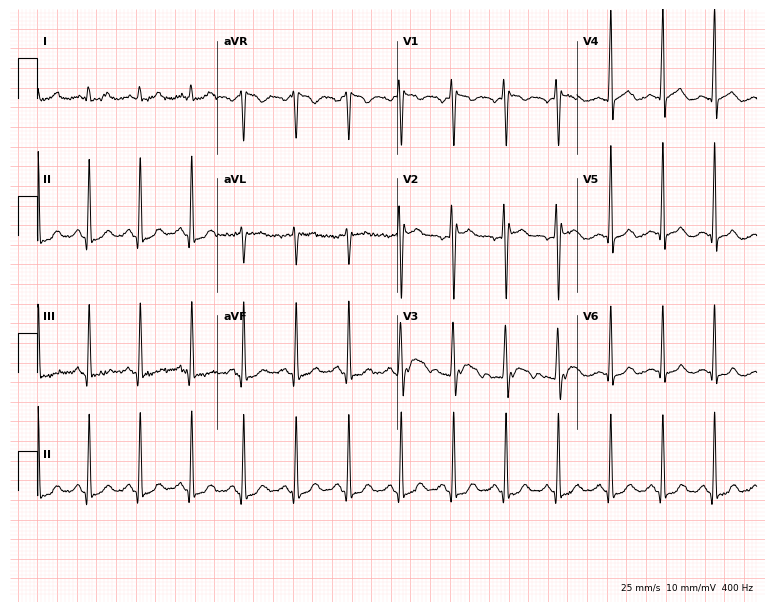
12-lead ECG from a 36-year-old male. Shows sinus tachycardia (a sinus rate of 100 beats per minute or more).